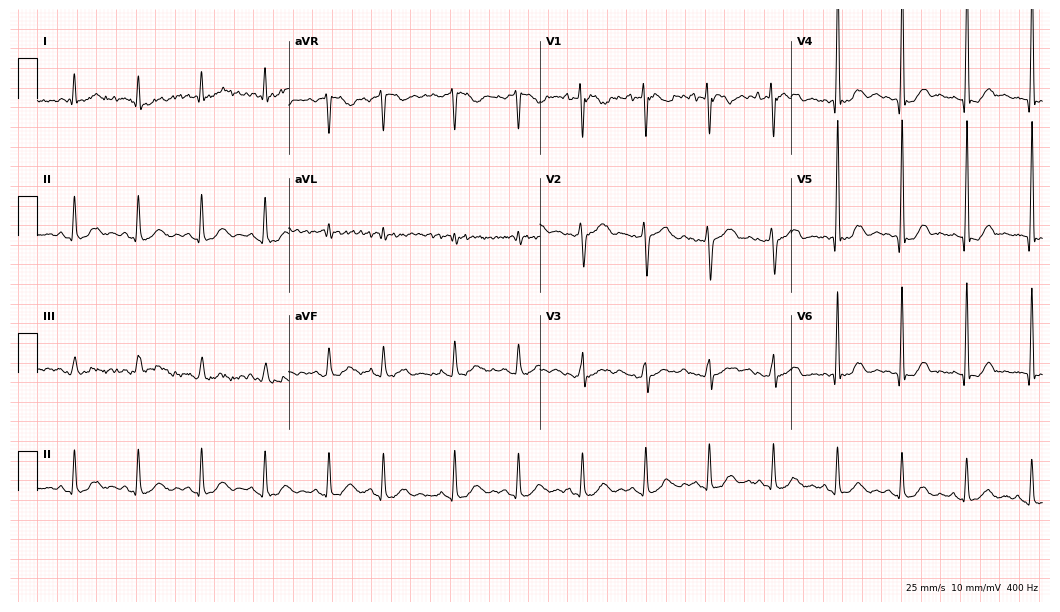
ECG (10.2-second recording at 400 Hz) — a 53-year-old female patient. Screened for six findings — first-degree AV block, right bundle branch block, left bundle branch block, sinus bradycardia, atrial fibrillation, sinus tachycardia — none is recorded.